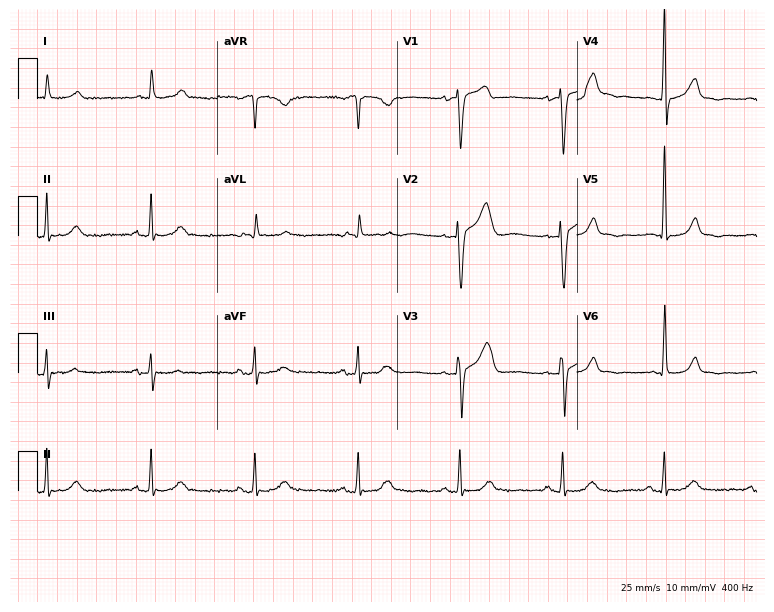
12-lead ECG from an 80-year-old male patient. No first-degree AV block, right bundle branch block, left bundle branch block, sinus bradycardia, atrial fibrillation or sinus tachycardia recorded for this tracing.